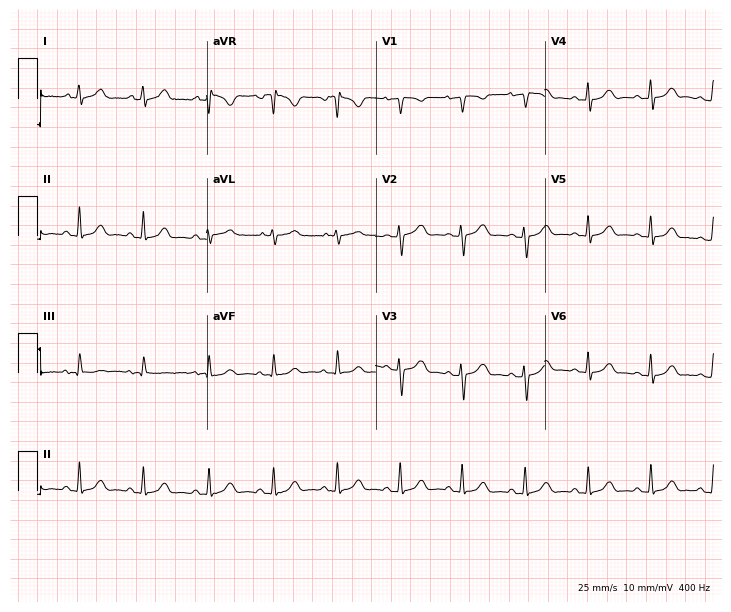
Resting 12-lead electrocardiogram. Patient: a woman, 29 years old. Read as a normal ECG.